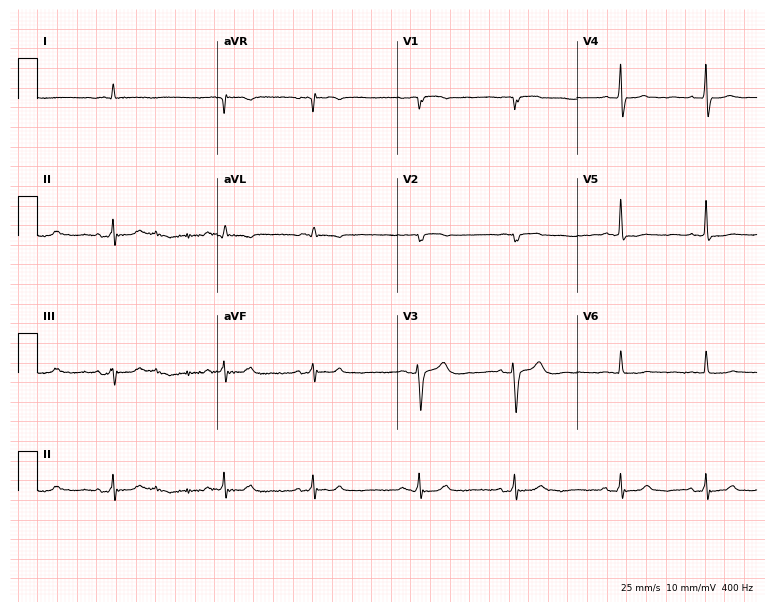
12-lead ECG (7.3-second recording at 400 Hz) from a male patient, 80 years old. Screened for six findings — first-degree AV block, right bundle branch block, left bundle branch block, sinus bradycardia, atrial fibrillation, sinus tachycardia — none is recorded.